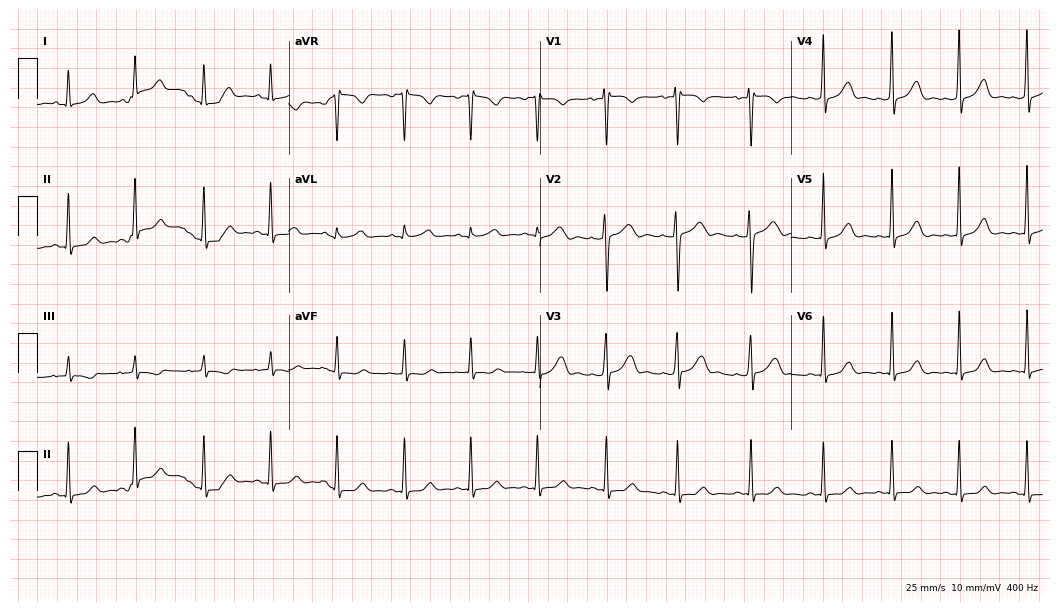
12-lead ECG from a female patient, 32 years old. Recorded interpretation: within normal limits.